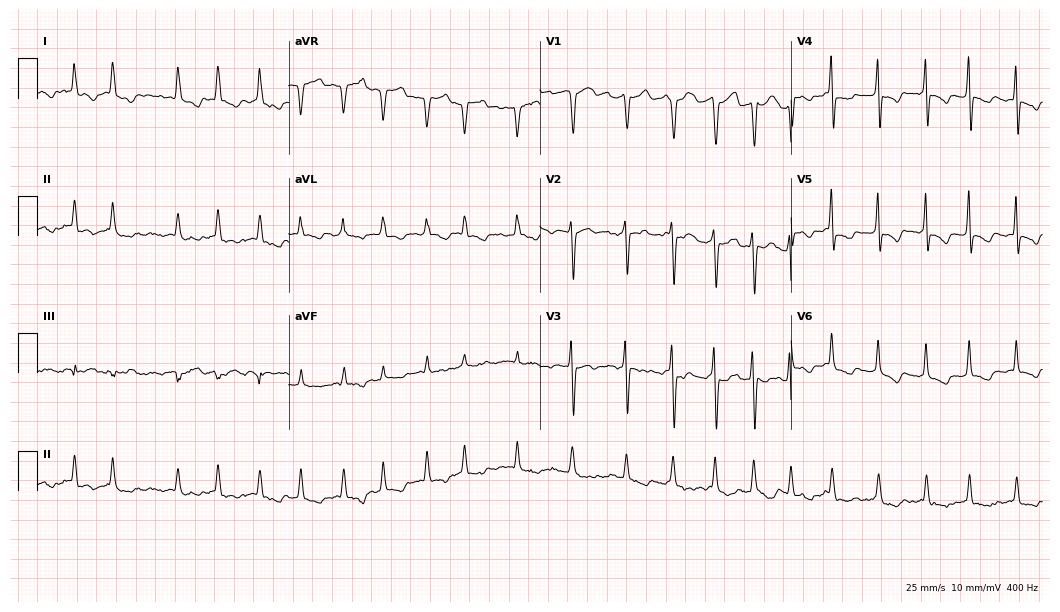
12-lead ECG (10.2-second recording at 400 Hz) from a 67-year-old female patient. Findings include atrial fibrillation.